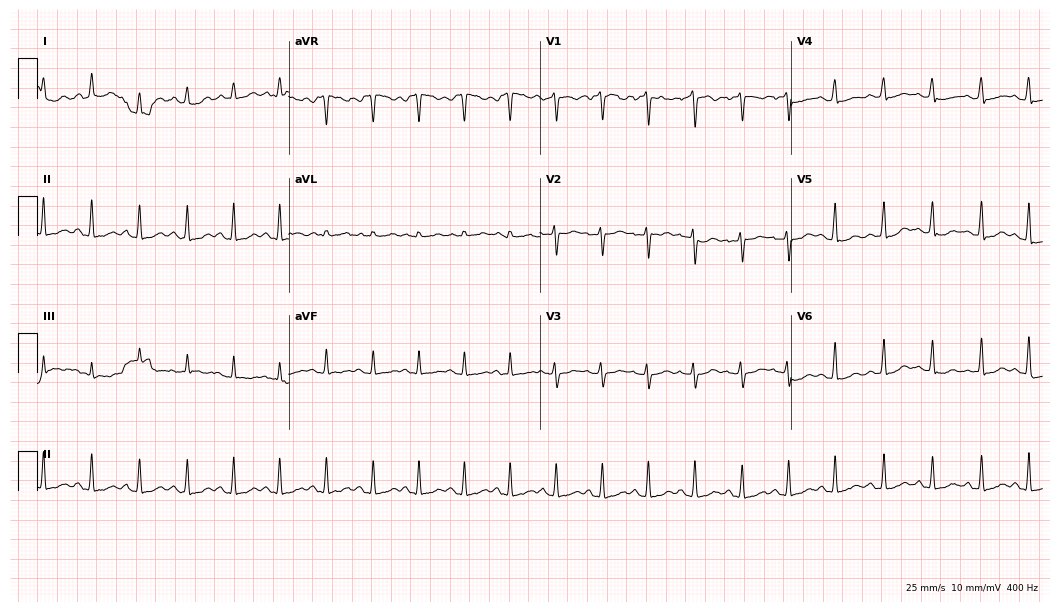
Resting 12-lead electrocardiogram. Patient: a female, 24 years old. The tracing shows sinus tachycardia (a sinus rate of 100 beats per minute or more).